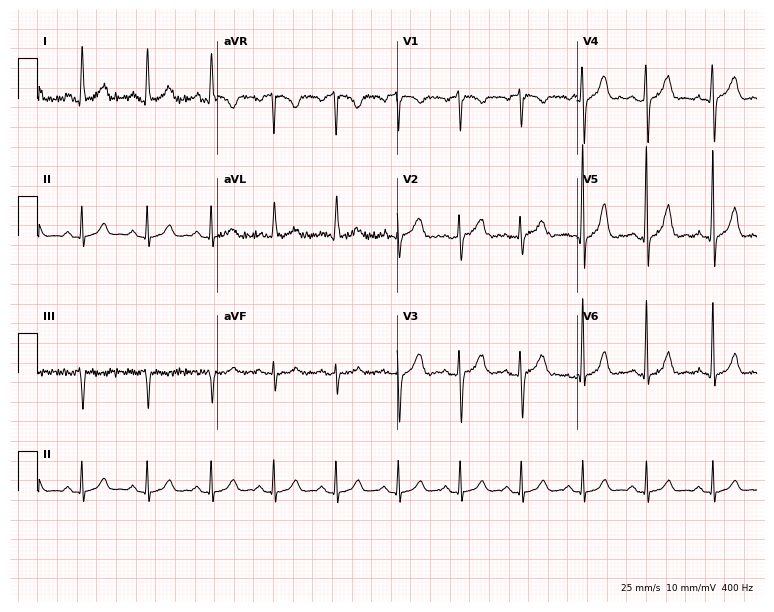
Standard 12-lead ECG recorded from a 53-year-old female. Read as a normal ECG.